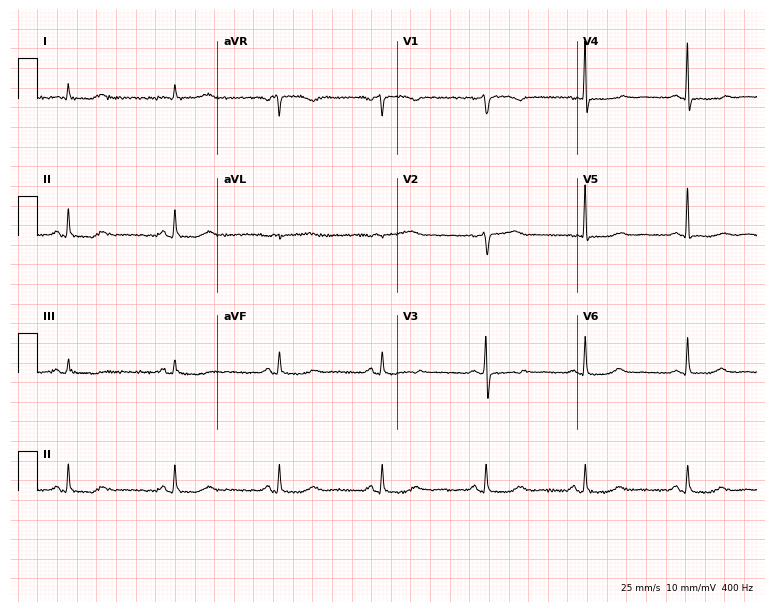
Electrocardiogram, a 66-year-old woman. Of the six screened findings (first-degree AV block, right bundle branch block, left bundle branch block, sinus bradycardia, atrial fibrillation, sinus tachycardia), none is recorded.